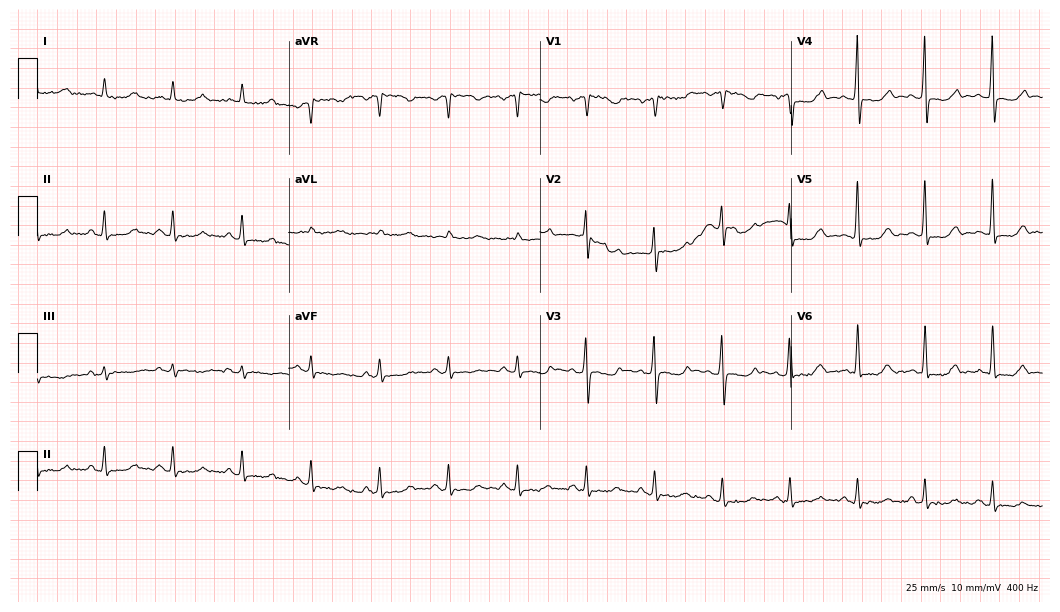
ECG — a female, 49 years old. Screened for six findings — first-degree AV block, right bundle branch block, left bundle branch block, sinus bradycardia, atrial fibrillation, sinus tachycardia — none is recorded. Only these six findings were labelled.